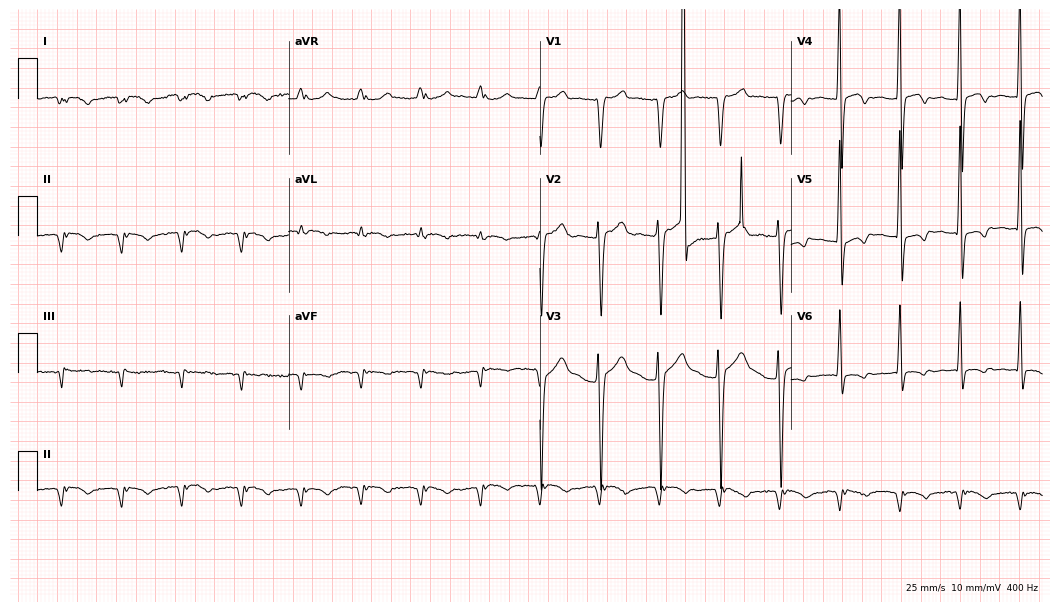
Electrocardiogram (10.2-second recording at 400 Hz), a man, 64 years old. Of the six screened findings (first-degree AV block, right bundle branch block, left bundle branch block, sinus bradycardia, atrial fibrillation, sinus tachycardia), none is recorded. Other findings, if any, are not listed.